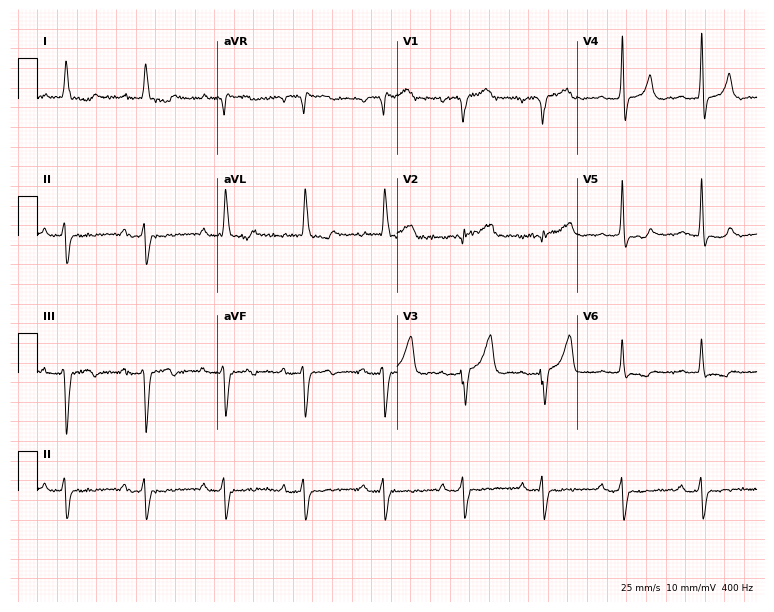
Resting 12-lead electrocardiogram (7.3-second recording at 400 Hz). Patient: a male, 72 years old. None of these six findings is recorded: first-degree AV block, right bundle branch block, left bundle branch block, sinus bradycardia, atrial fibrillation, sinus tachycardia.